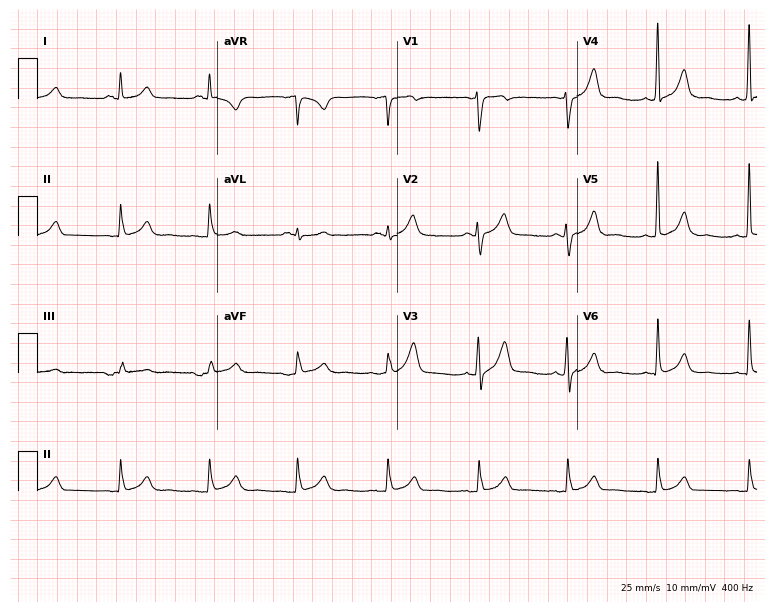
Standard 12-lead ECG recorded from a 59-year-old man. None of these six findings is recorded: first-degree AV block, right bundle branch block (RBBB), left bundle branch block (LBBB), sinus bradycardia, atrial fibrillation (AF), sinus tachycardia.